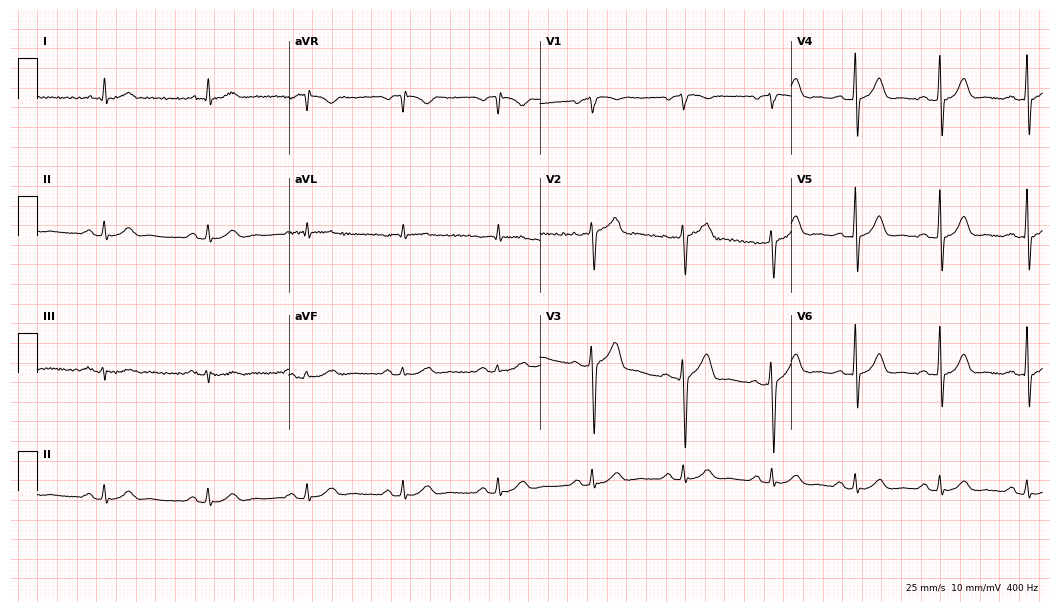
Standard 12-lead ECG recorded from a 65-year-old man. Read as a normal ECG.